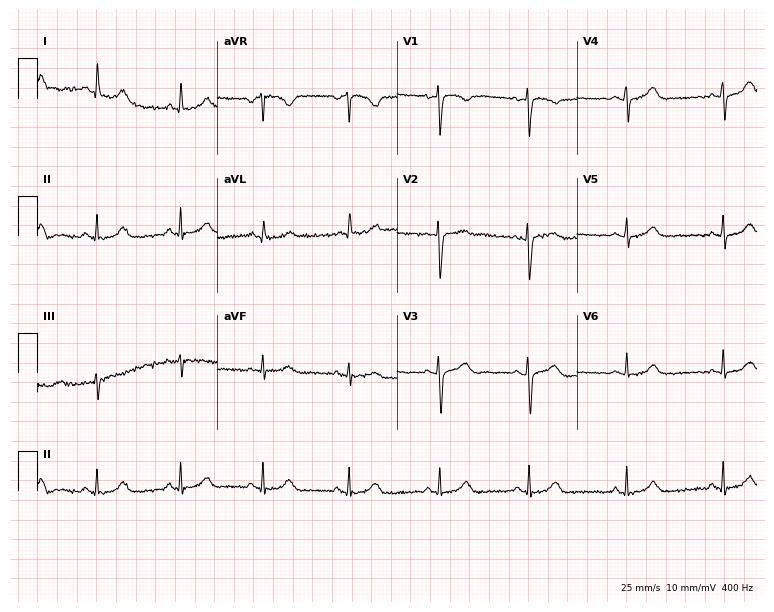
ECG (7.3-second recording at 400 Hz) — a female, 36 years old. Labelled as a normal ECG.